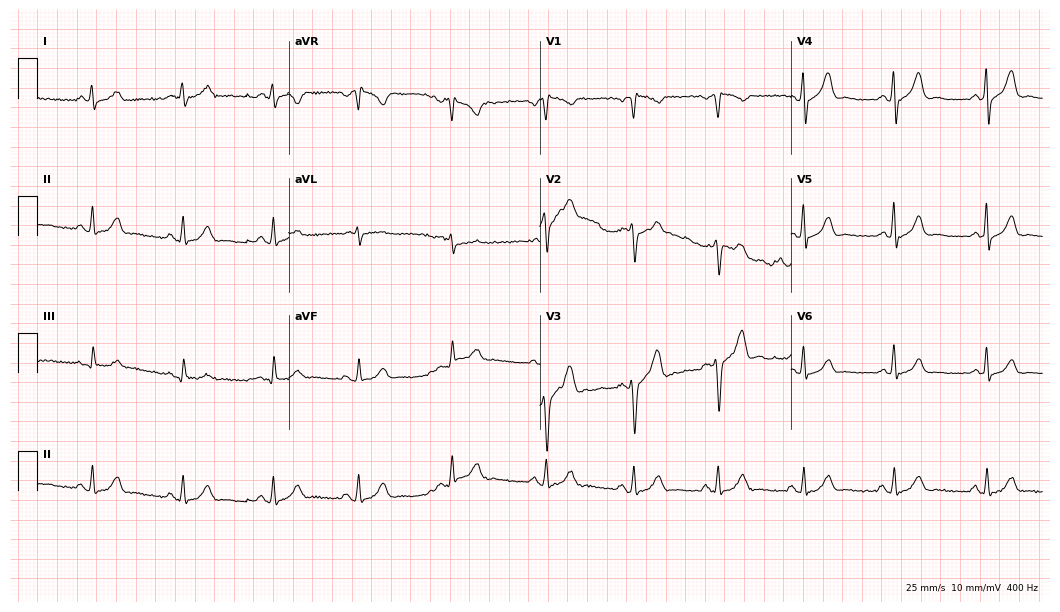
Resting 12-lead electrocardiogram (10.2-second recording at 400 Hz). Patient: a 31-year-old male. None of these six findings is recorded: first-degree AV block, right bundle branch block, left bundle branch block, sinus bradycardia, atrial fibrillation, sinus tachycardia. Other findings, if any, are not listed.